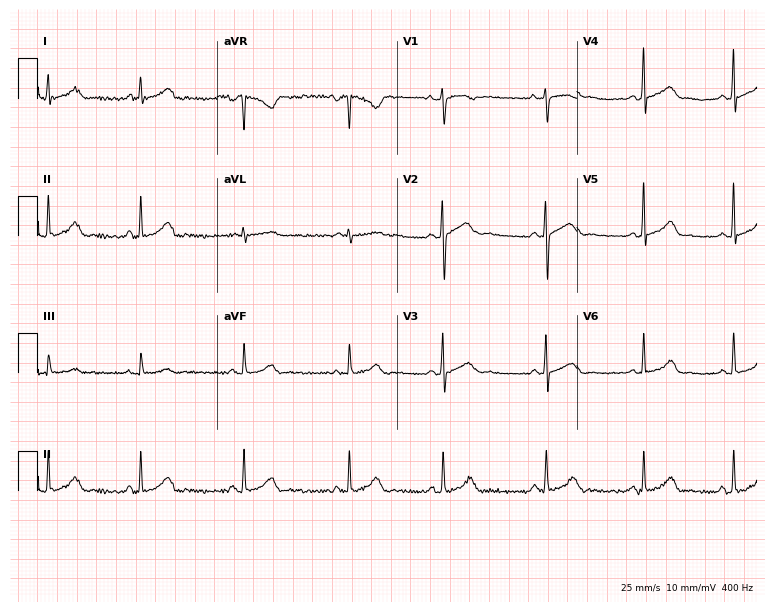
Standard 12-lead ECG recorded from a female patient, 20 years old (7.3-second recording at 400 Hz). None of these six findings is recorded: first-degree AV block, right bundle branch block, left bundle branch block, sinus bradycardia, atrial fibrillation, sinus tachycardia.